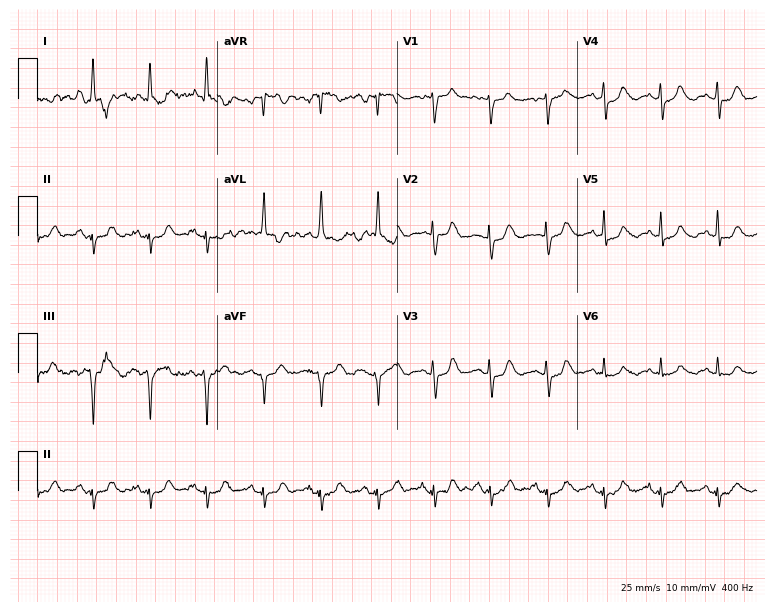
Electrocardiogram (7.3-second recording at 400 Hz), a female patient, 81 years old. Interpretation includes sinus tachycardia (a sinus rate of 100 beats per minute or more).